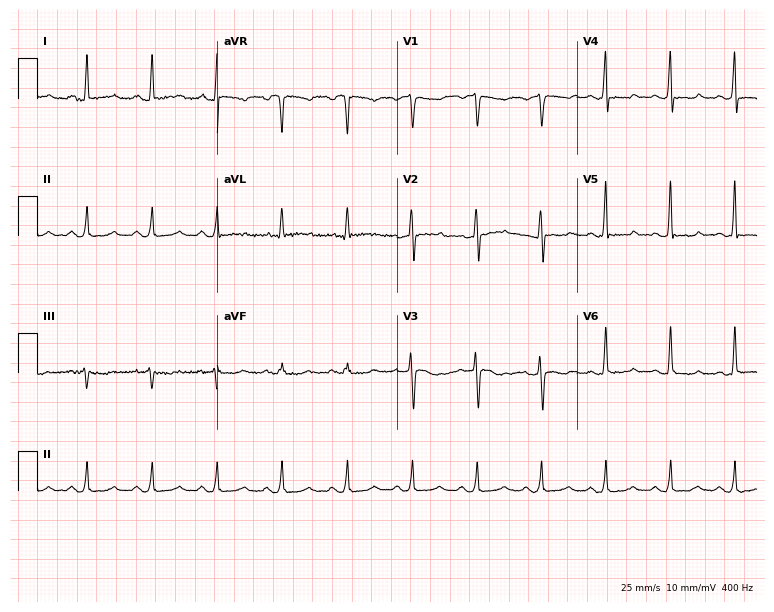
Electrocardiogram, a female patient, 51 years old. Of the six screened findings (first-degree AV block, right bundle branch block, left bundle branch block, sinus bradycardia, atrial fibrillation, sinus tachycardia), none is recorded.